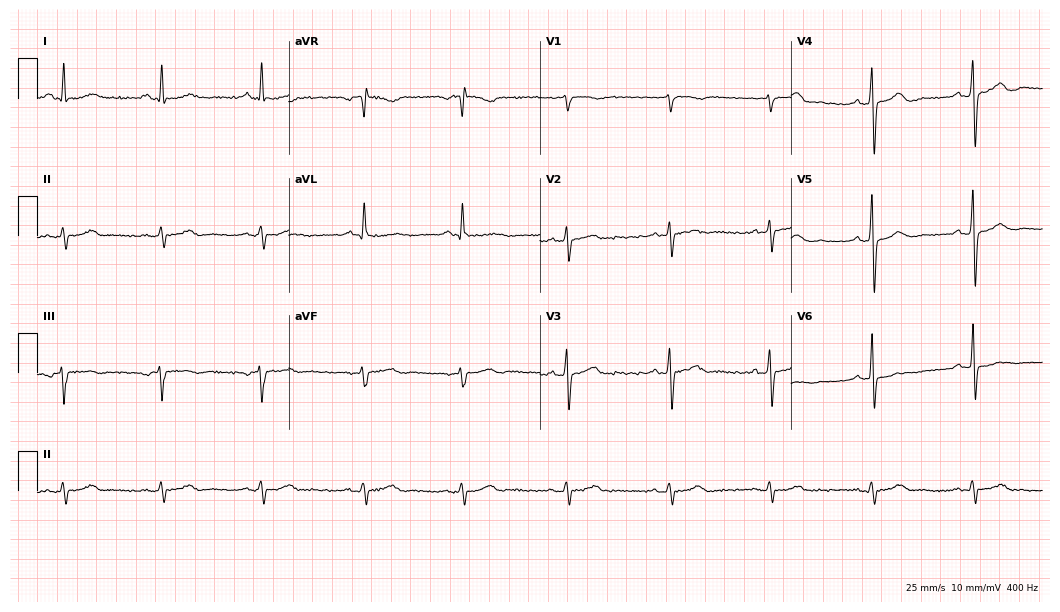
12-lead ECG (10.2-second recording at 400 Hz) from a male patient, 63 years old. Screened for six findings — first-degree AV block, right bundle branch block, left bundle branch block, sinus bradycardia, atrial fibrillation, sinus tachycardia — none is recorded. Other findings, if any, are not listed.